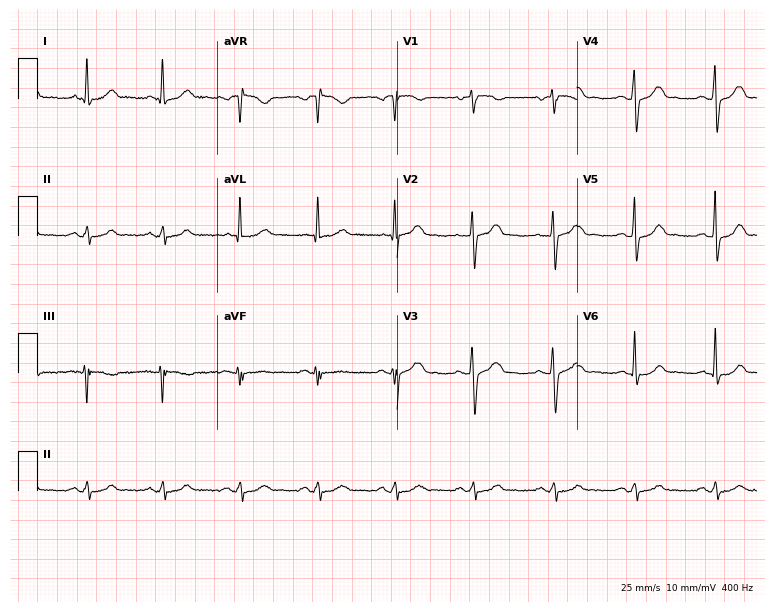
12-lead ECG from a female patient, 58 years old (7.3-second recording at 400 Hz). Recorded interpretation: within normal limits.